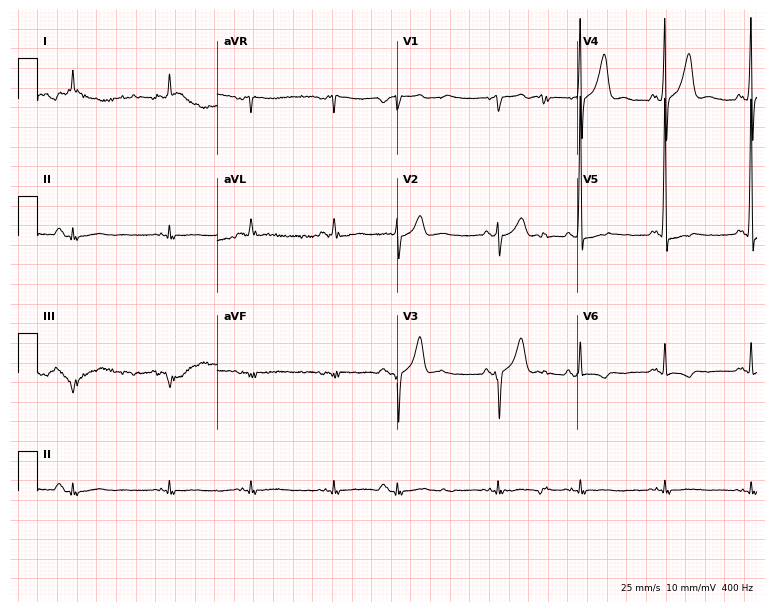
12-lead ECG from a male patient, 75 years old. No first-degree AV block, right bundle branch block, left bundle branch block, sinus bradycardia, atrial fibrillation or sinus tachycardia recorded for this tracing. Other findings, if any, are not listed.